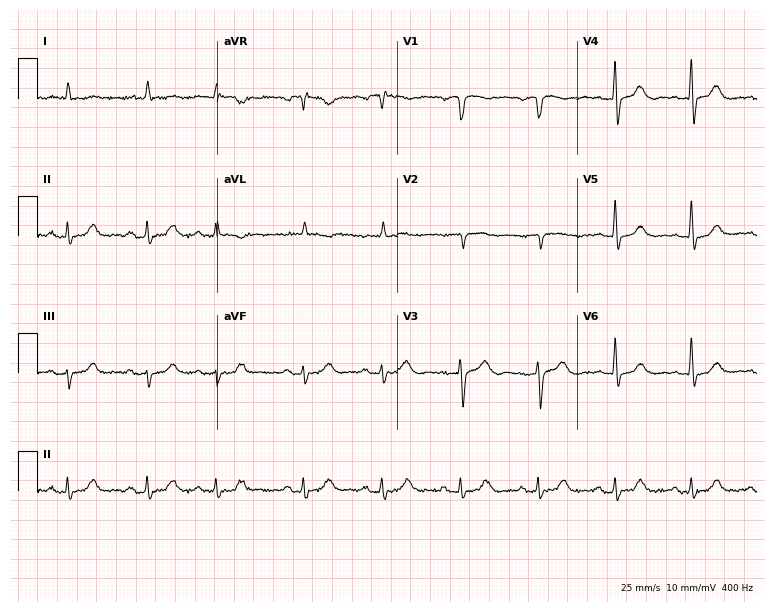
Standard 12-lead ECG recorded from an 85-year-old male patient (7.3-second recording at 400 Hz). Read as a normal ECG.